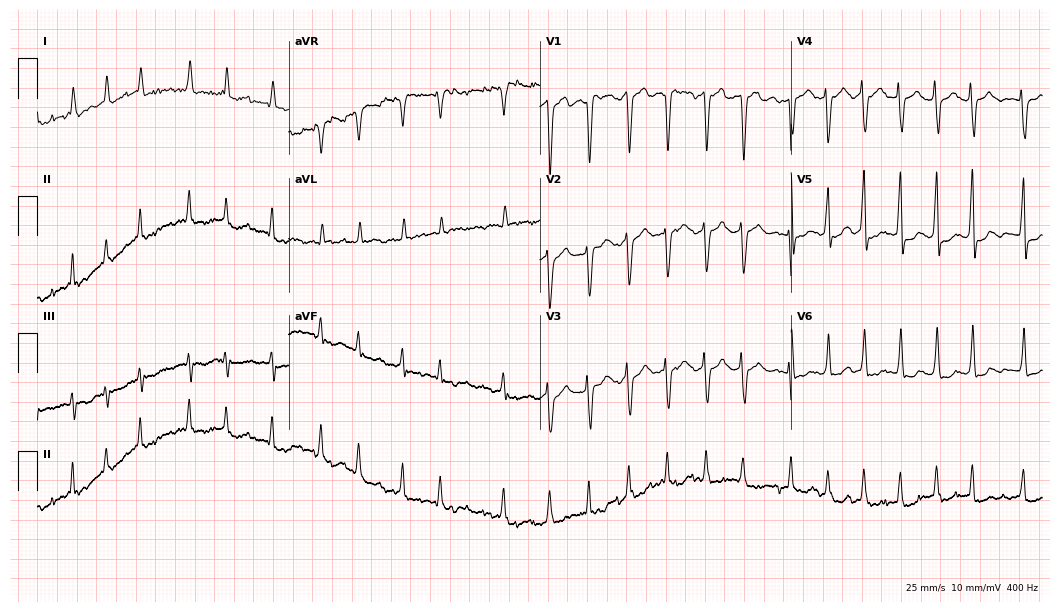
Electrocardiogram (10.2-second recording at 400 Hz), a 79-year-old female. Interpretation includes atrial fibrillation.